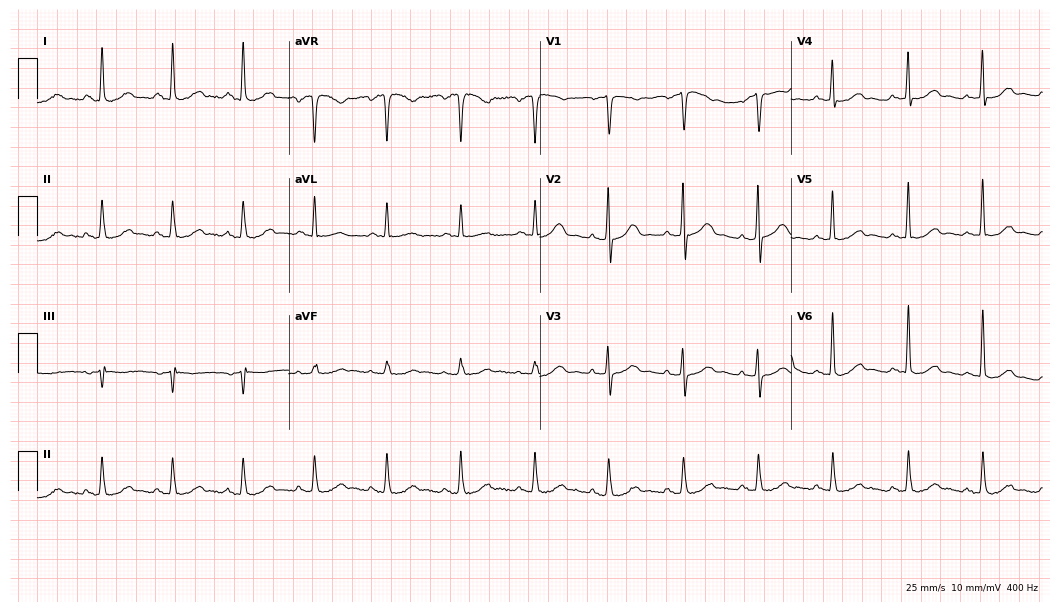
12-lead ECG from a 58-year-old woman (10.2-second recording at 400 Hz). No first-degree AV block, right bundle branch block, left bundle branch block, sinus bradycardia, atrial fibrillation or sinus tachycardia recorded for this tracing. Only these six findings were labelled.